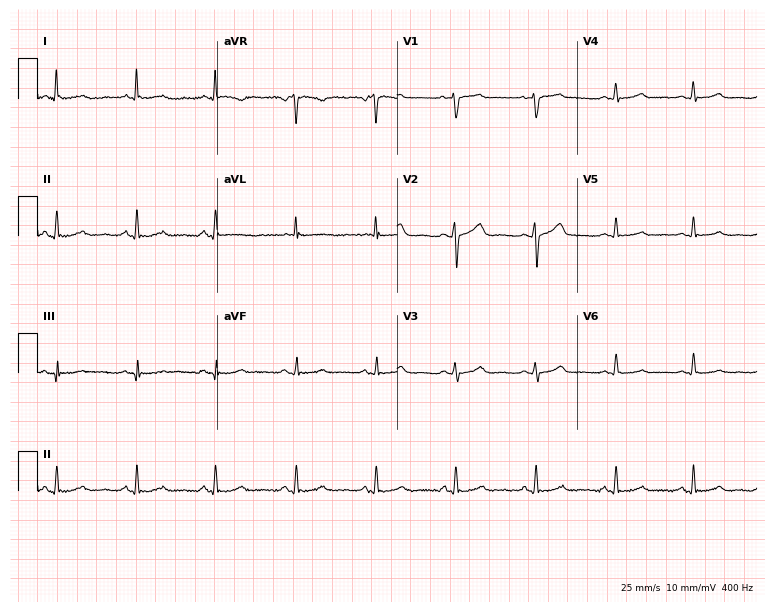
Electrocardiogram (7.3-second recording at 400 Hz), a female patient, 52 years old. Overall reading on record: normal ECG.